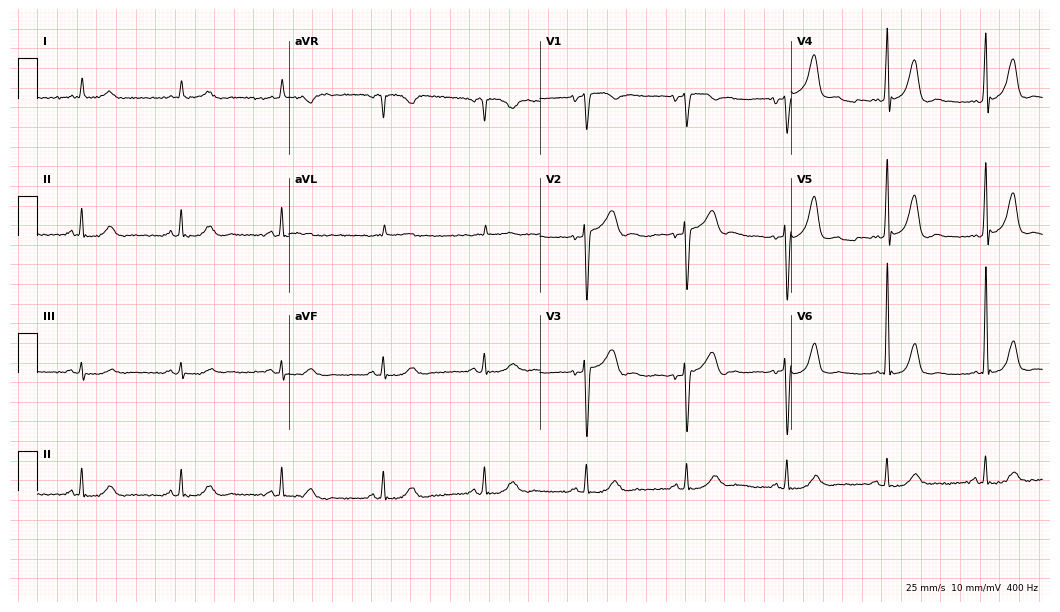
ECG — an 83-year-old man. Screened for six findings — first-degree AV block, right bundle branch block, left bundle branch block, sinus bradycardia, atrial fibrillation, sinus tachycardia — none is recorded. Other findings, if any, are not listed.